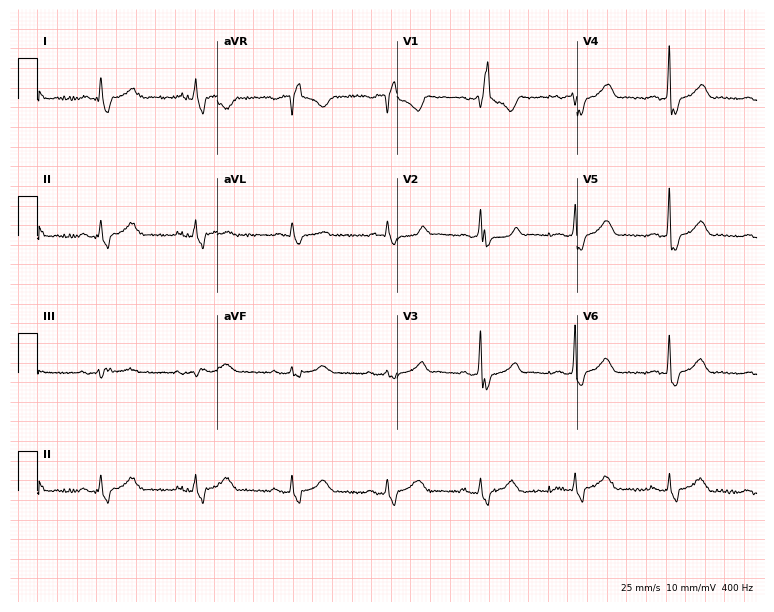
Standard 12-lead ECG recorded from a man, 67 years old. The tracing shows right bundle branch block (RBBB).